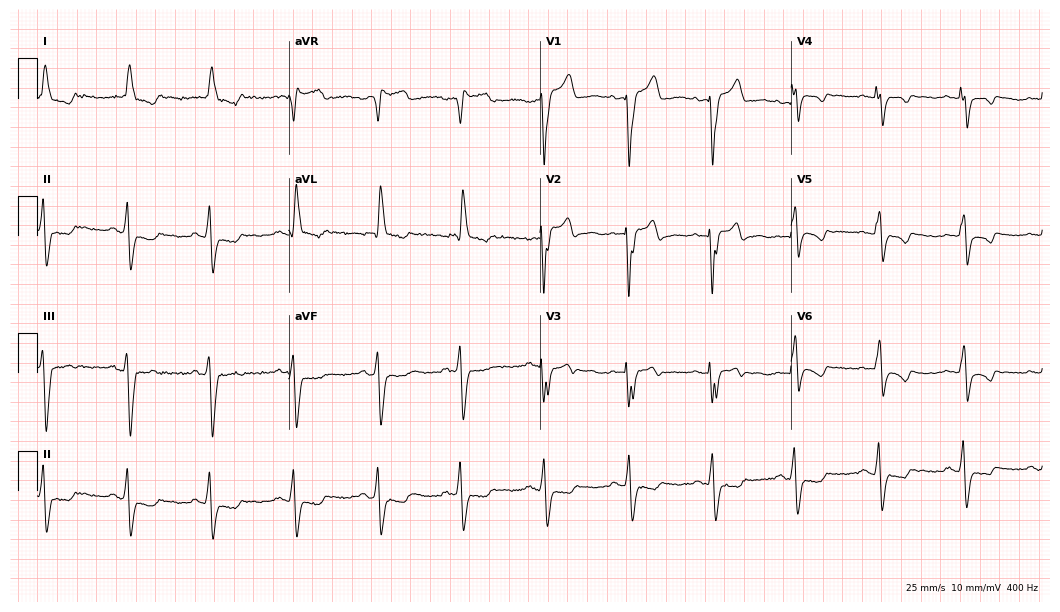
Electrocardiogram, a 77-year-old woman. Of the six screened findings (first-degree AV block, right bundle branch block, left bundle branch block, sinus bradycardia, atrial fibrillation, sinus tachycardia), none is recorded. Findings outside these six are not listed.